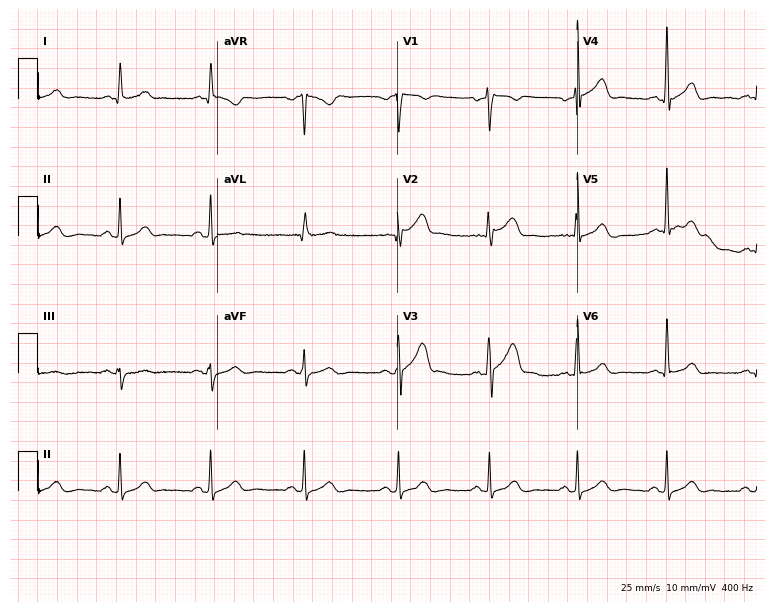
Electrocardiogram (7.3-second recording at 400 Hz), a 53-year-old male. Overall reading on record: normal ECG.